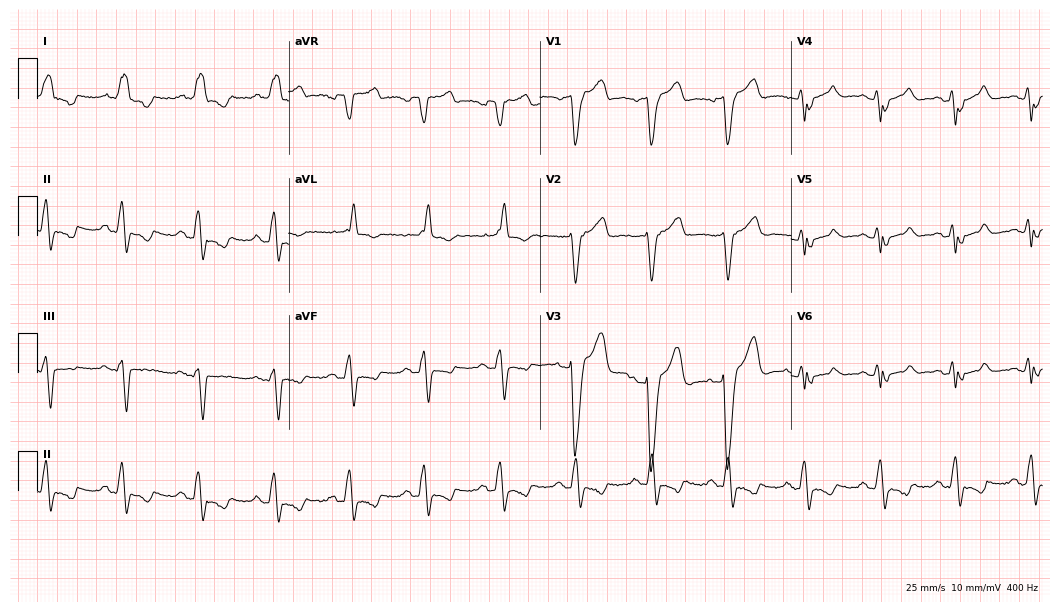
Standard 12-lead ECG recorded from a male, 74 years old (10.2-second recording at 400 Hz). The tracing shows left bundle branch block.